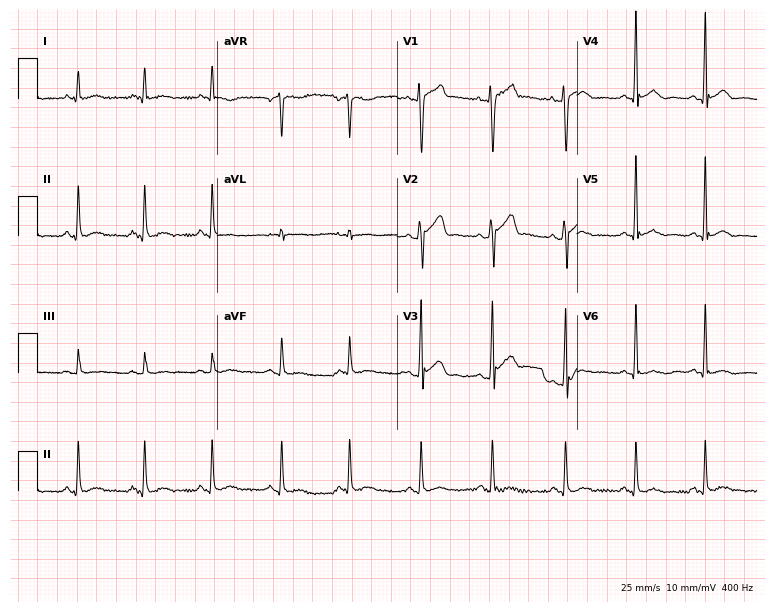
ECG — a male, 38 years old. Labelled as a normal ECG.